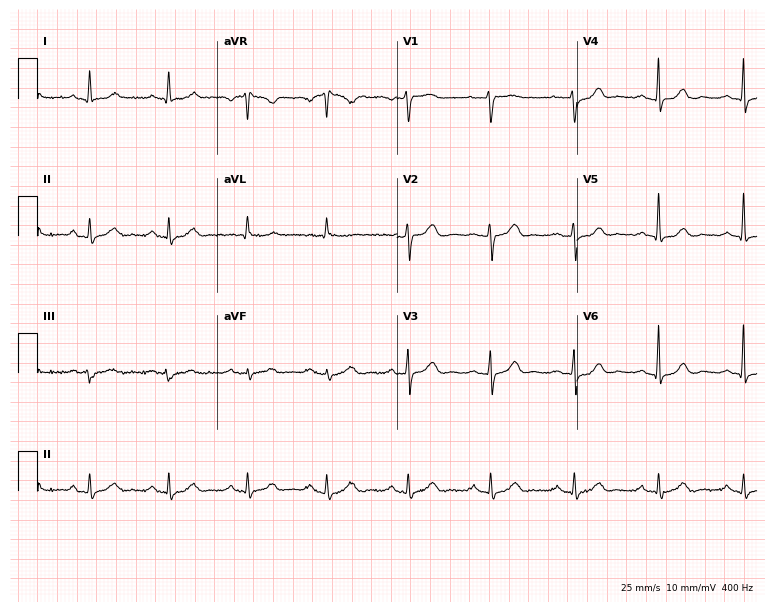
12-lead ECG from a woman, 42 years old. Recorded interpretation: within normal limits.